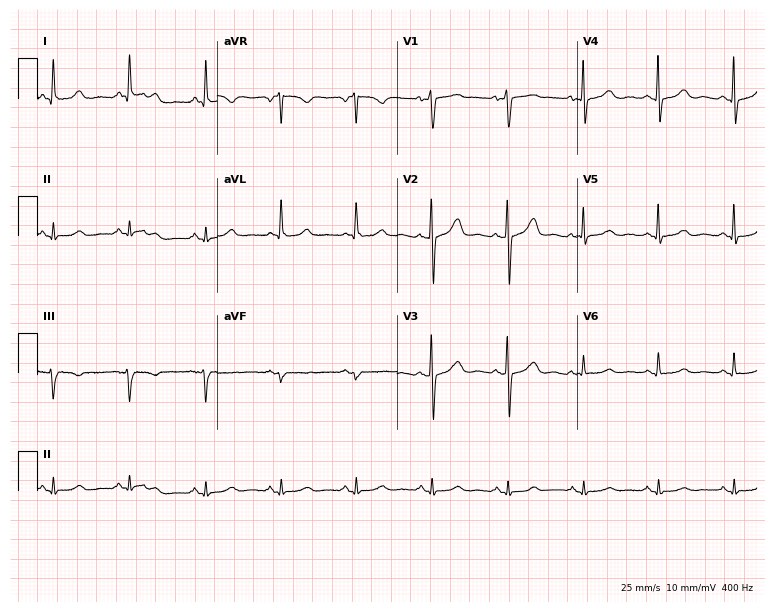
Resting 12-lead electrocardiogram (7.3-second recording at 400 Hz). Patient: a 59-year-old woman. Read as a normal ECG.